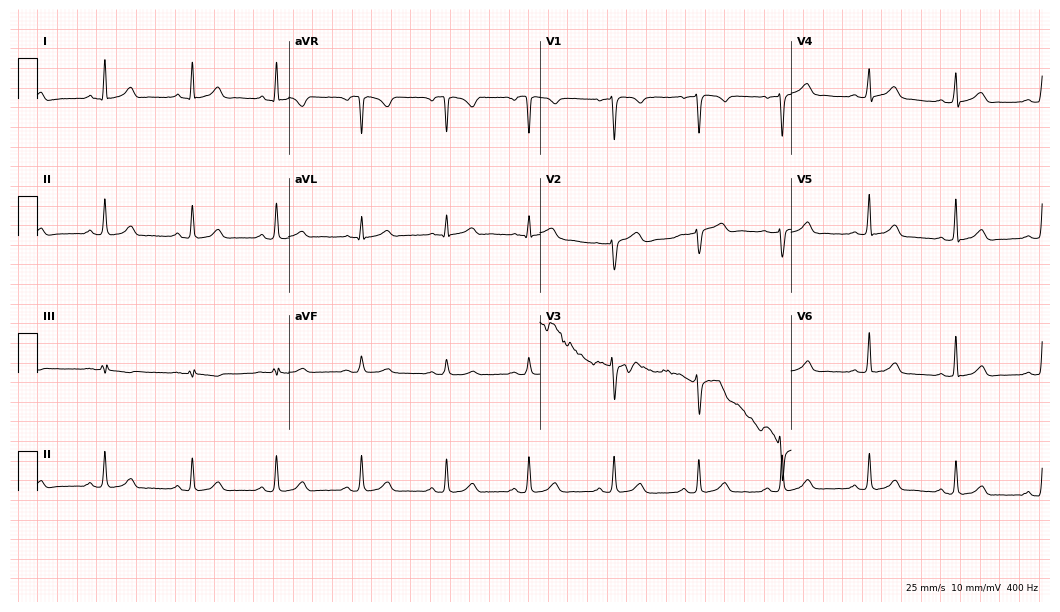
Electrocardiogram, a 38-year-old female. Overall reading on record: normal ECG.